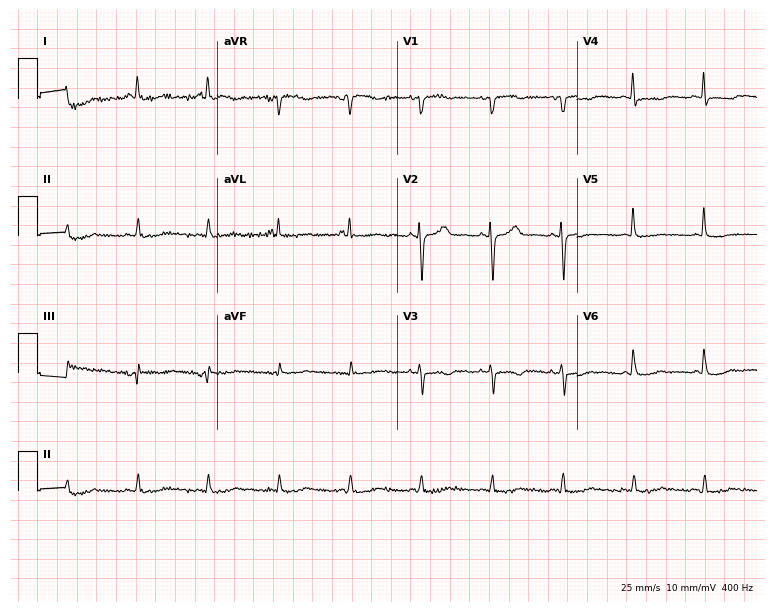
12-lead ECG from a female, 62 years old. No first-degree AV block, right bundle branch block, left bundle branch block, sinus bradycardia, atrial fibrillation or sinus tachycardia recorded for this tracing.